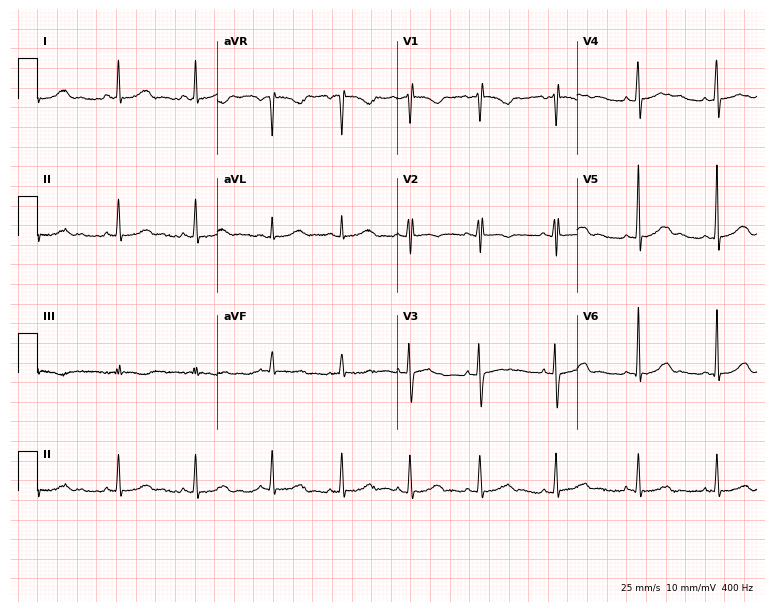
Standard 12-lead ECG recorded from a 23-year-old female (7.3-second recording at 400 Hz). None of these six findings is recorded: first-degree AV block, right bundle branch block, left bundle branch block, sinus bradycardia, atrial fibrillation, sinus tachycardia. Only these six findings were labelled.